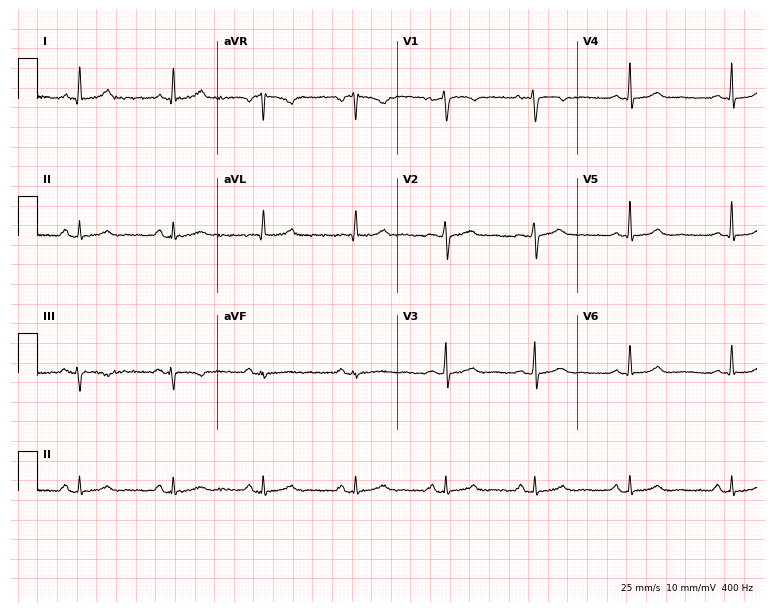
Standard 12-lead ECG recorded from a woman, 37 years old. None of these six findings is recorded: first-degree AV block, right bundle branch block, left bundle branch block, sinus bradycardia, atrial fibrillation, sinus tachycardia. Only these six findings were labelled.